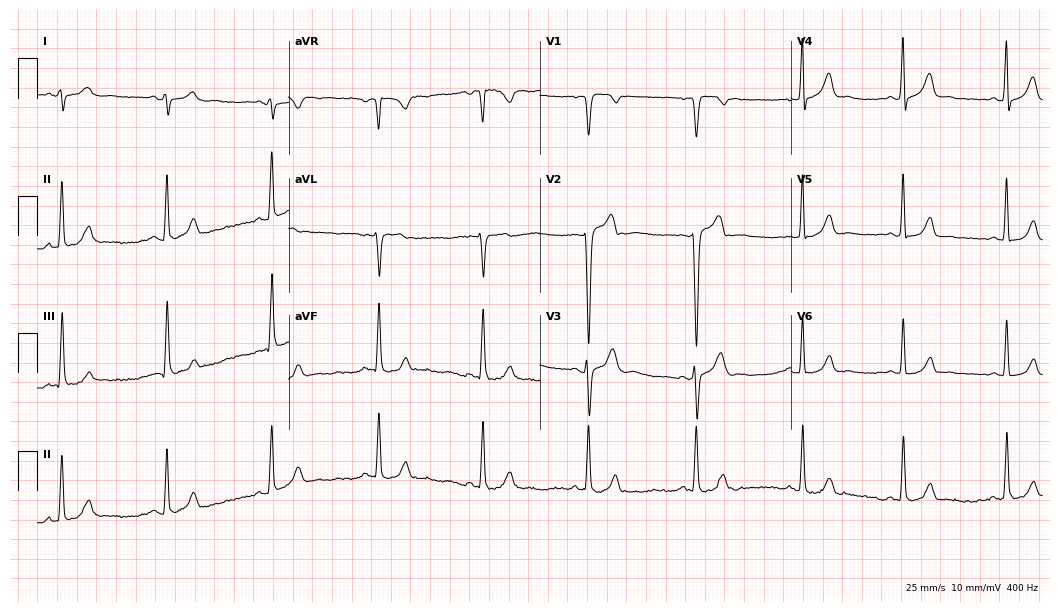
Electrocardiogram (10.2-second recording at 400 Hz), a man, 21 years old. Overall reading on record: normal ECG.